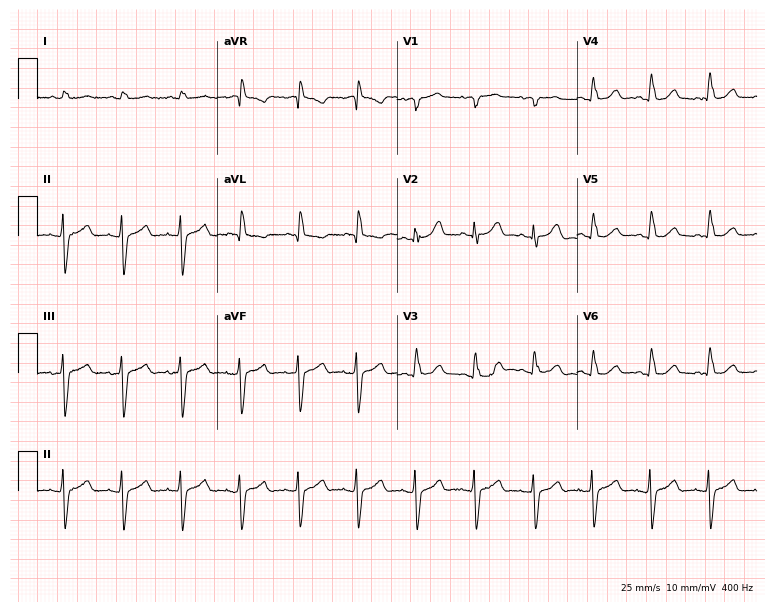
12-lead ECG from a male, 80 years old. No first-degree AV block, right bundle branch block, left bundle branch block, sinus bradycardia, atrial fibrillation or sinus tachycardia recorded for this tracing. Findings outside these six are not listed.